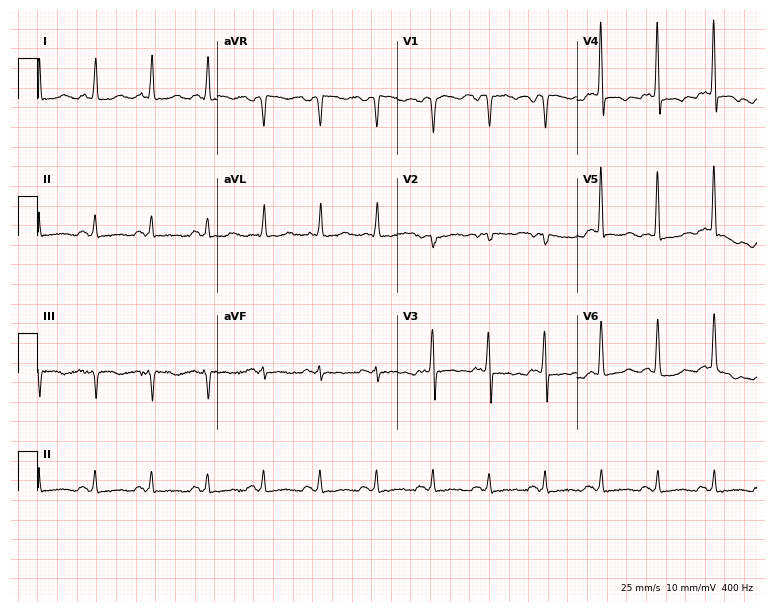
ECG (7.3-second recording at 400 Hz) — a 63-year-old female patient. Findings include sinus tachycardia (a sinus rate of 100 beats per minute or more).